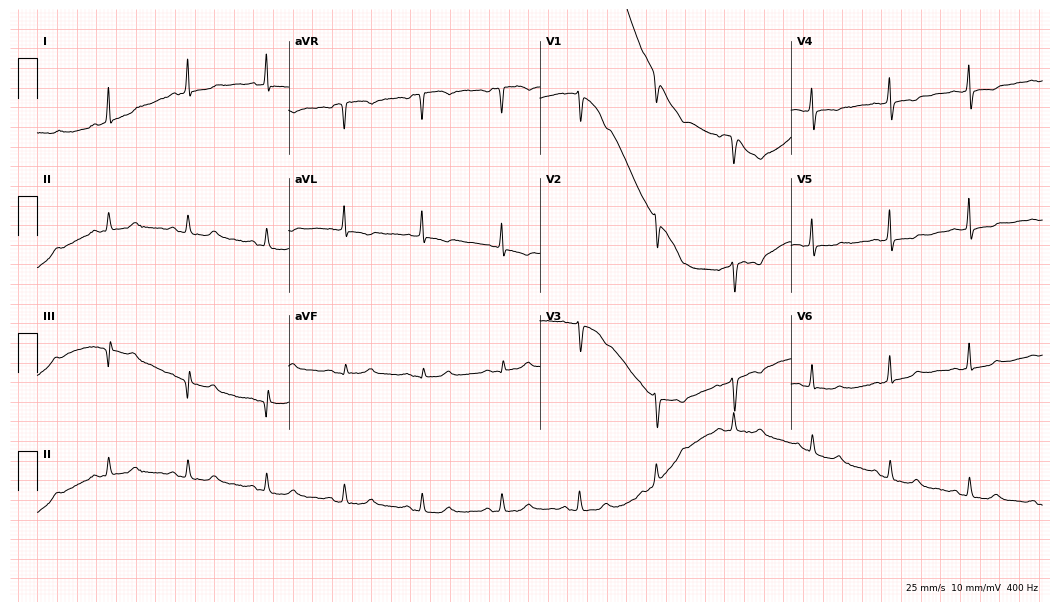
12-lead ECG from a male, 60 years old. No first-degree AV block, right bundle branch block (RBBB), left bundle branch block (LBBB), sinus bradycardia, atrial fibrillation (AF) or sinus tachycardia recorded for this tracing. Only these six findings were labelled.